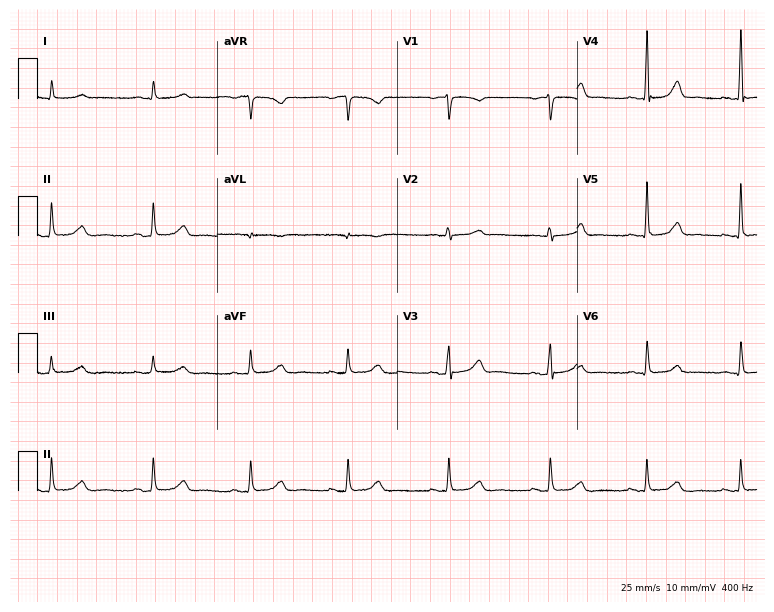
ECG — a woman, 41 years old. Screened for six findings — first-degree AV block, right bundle branch block (RBBB), left bundle branch block (LBBB), sinus bradycardia, atrial fibrillation (AF), sinus tachycardia — none is recorded. Only these six findings were labelled.